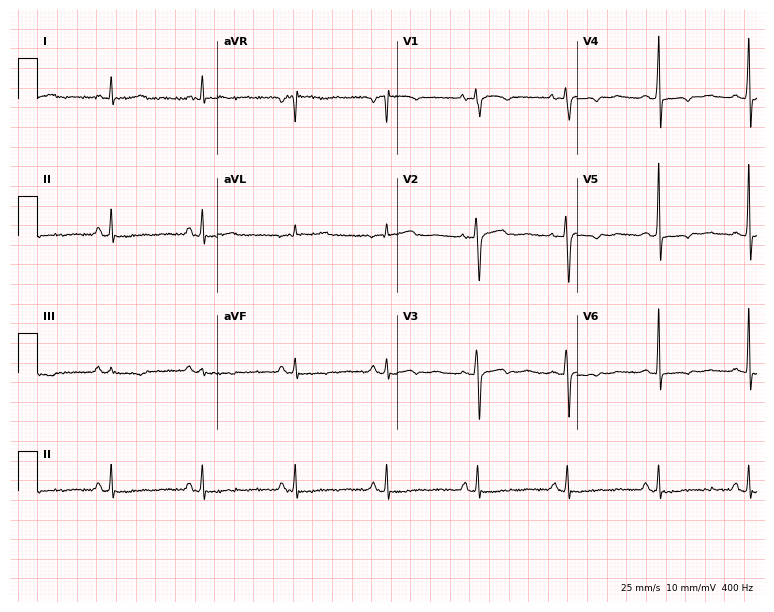
12-lead ECG from a woman, 70 years old. Screened for six findings — first-degree AV block, right bundle branch block, left bundle branch block, sinus bradycardia, atrial fibrillation, sinus tachycardia — none is recorded. Findings outside these six are not listed.